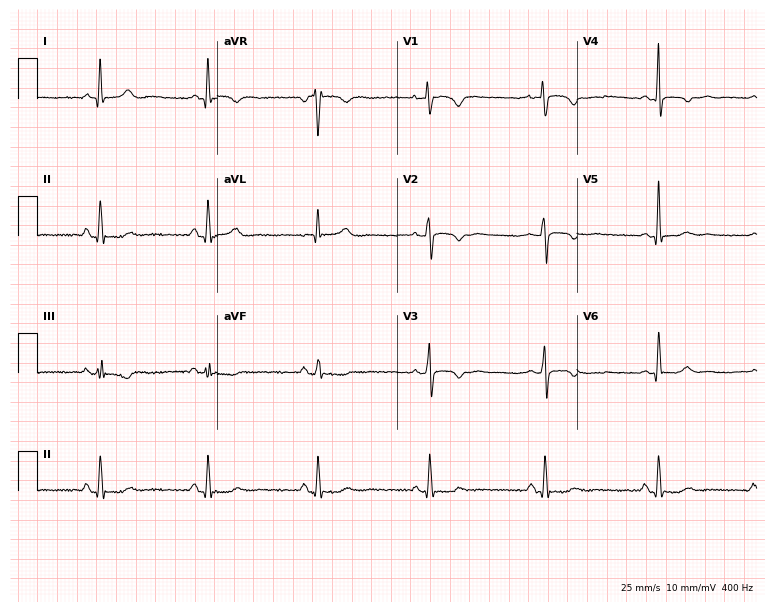
Resting 12-lead electrocardiogram (7.3-second recording at 400 Hz). Patient: a 55-year-old woman. None of these six findings is recorded: first-degree AV block, right bundle branch block (RBBB), left bundle branch block (LBBB), sinus bradycardia, atrial fibrillation (AF), sinus tachycardia. Findings outside these six are not listed.